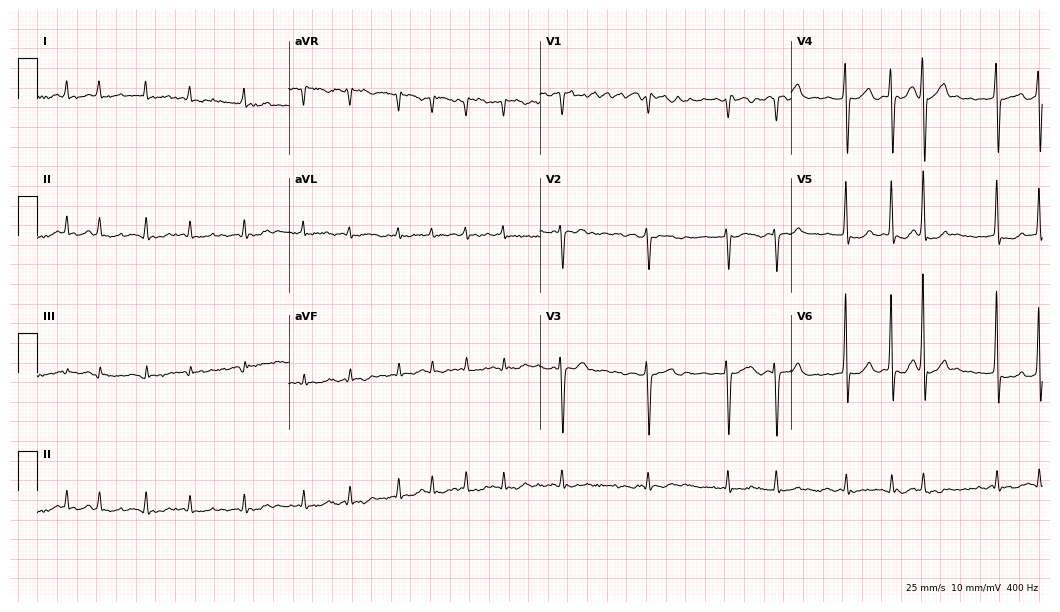
Electrocardiogram (10.2-second recording at 400 Hz), an 82-year-old male. Interpretation includes atrial fibrillation (AF).